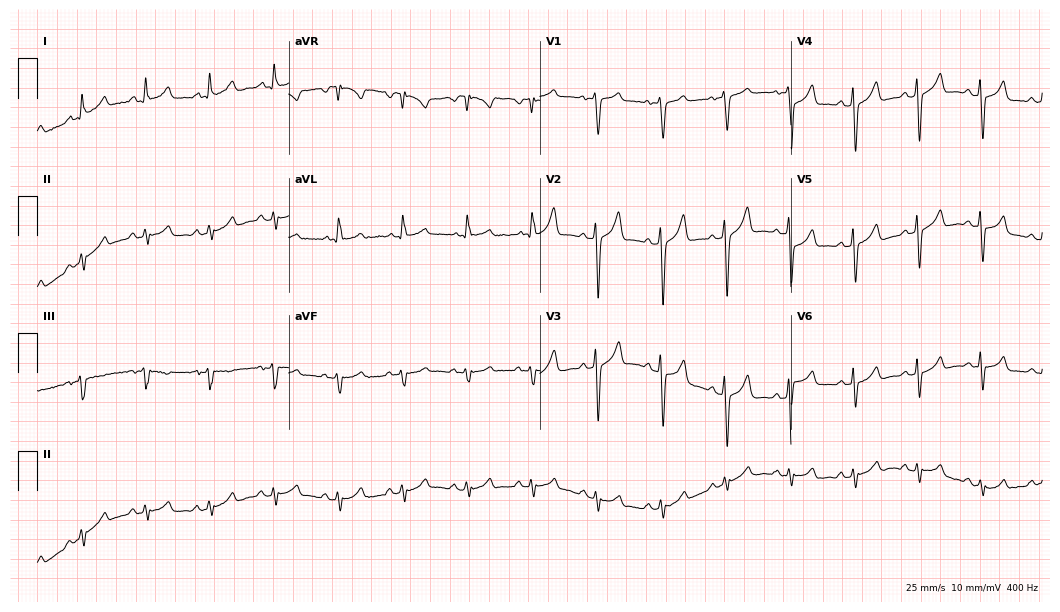
12-lead ECG from a 47-year-old male patient. No first-degree AV block, right bundle branch block, left bundle branch block, sinus bradycardia, atrial fibrillation or sinus tachycardia recorded for this tracing.